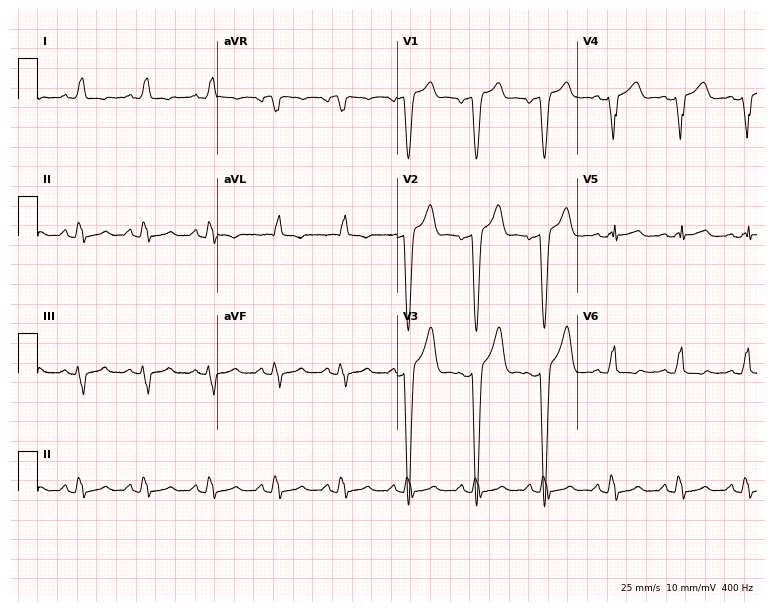
Electrocardiogram (7.3-second recording at 400 Hz), a 44-year-old male patient. Interpretation includes left bundle branch block.